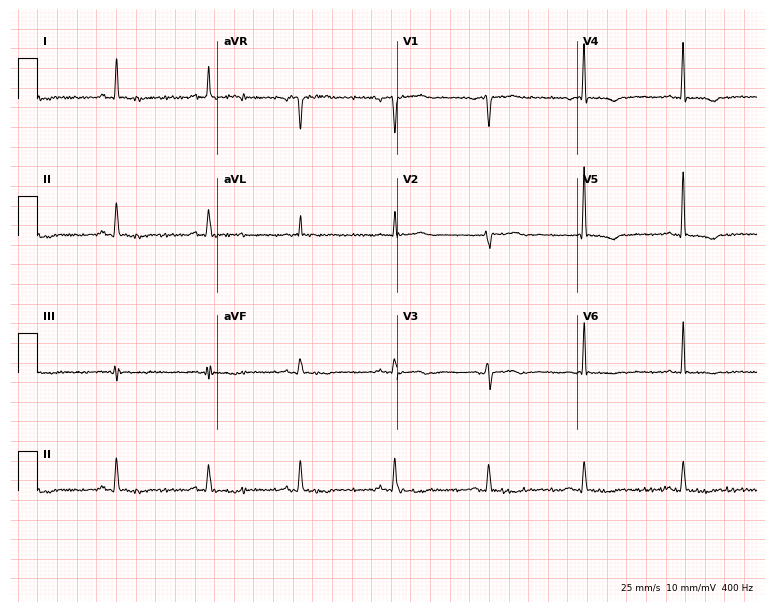
Standard 12-lead ECG recorded from a 60-year-old woman (7.3-second recording at 400 Hz). None of these six findings is recorded: first-degree AV block, right bundle branch block, left bundle branch block, sinus bradycardia, atrial fibrillation, sinus tachycardia.